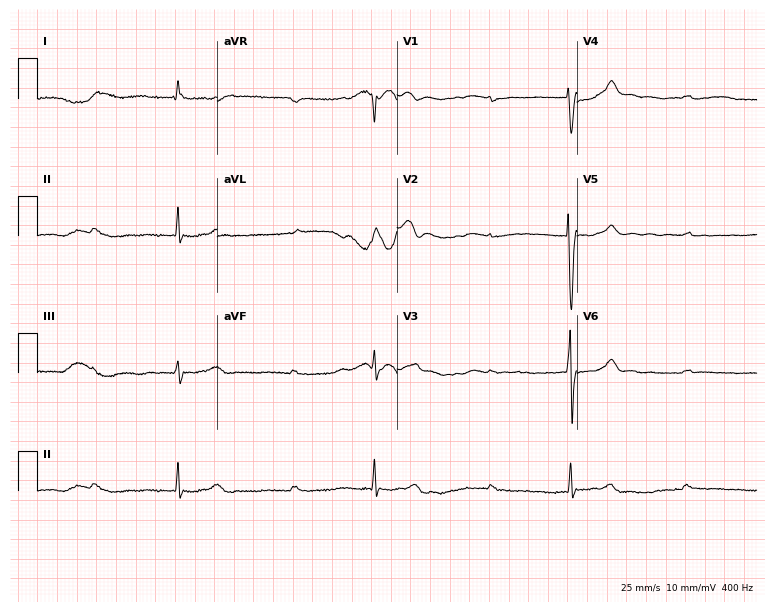
Standard 12-lead ECG recorded from a 66-year-old man. None of these six findings is recorded: first-degree AV block, right bundle branch block (RBBB), left bundle branch block (LBBB), sinus bradycardia, atrial fibrillation (AF), sinus tachycardia.